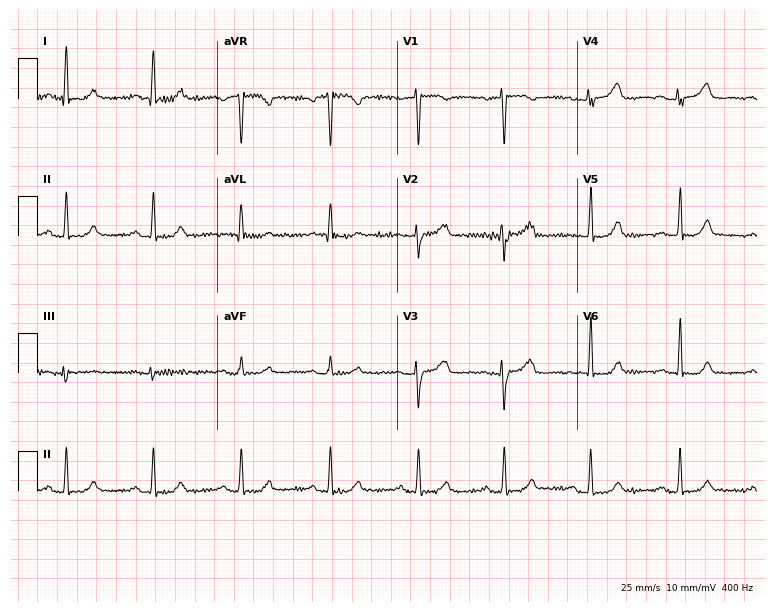
ECG — a 48-year-old female patient. Labelled as a normal ECG.